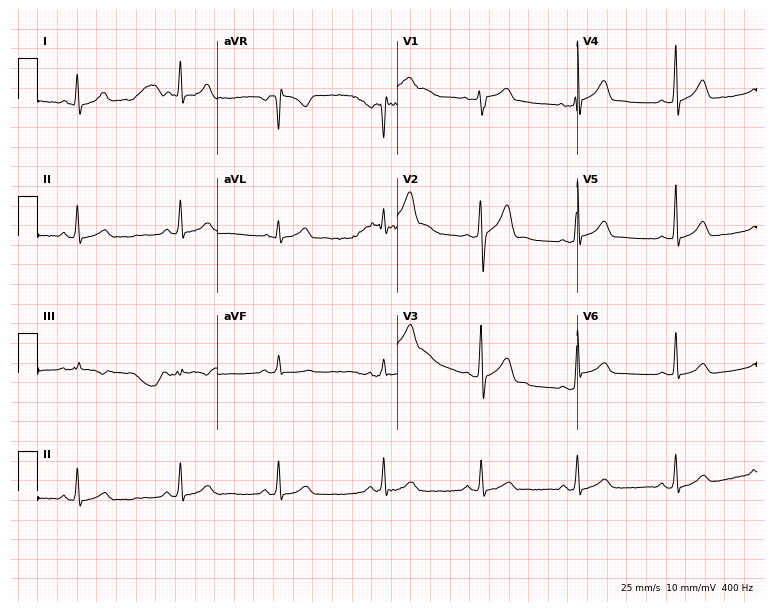
Standard 12-lead ECG recorded from a 43-year-old male patient. None of these six findings is recorded: first-degree AV block, right bundle branch block, left bundle branch block, sinus bradycardia, atrial fibrillation, sinus tachycardia.